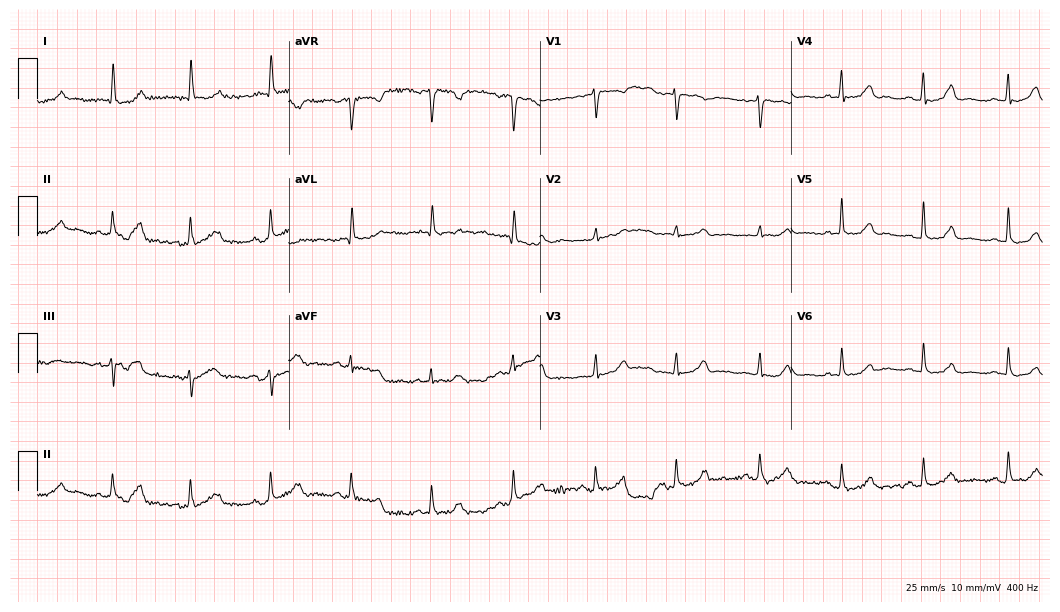
Electrocardiogram, a 60-year-old female. Overall reading on record: normal ECG.